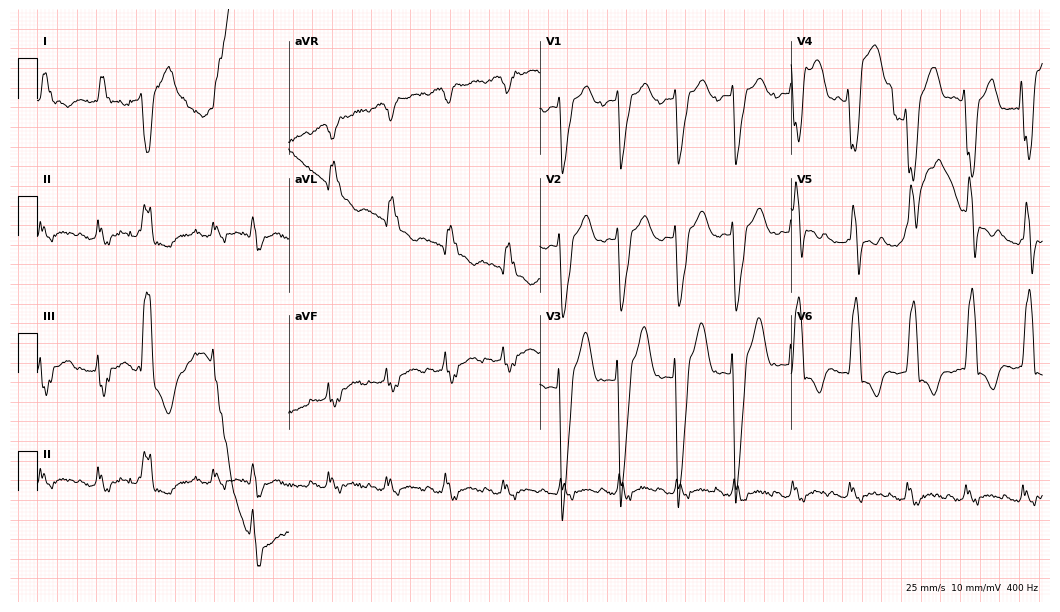
ECG — a 77-year-old female patient. Screened for six findings — first-degree AV block, right bundle branch block (RBBB), left bundle branch block (LBBB), sinus bradycardia, atrial fibrillation (AF), sinus tachycardia — none is recorded.